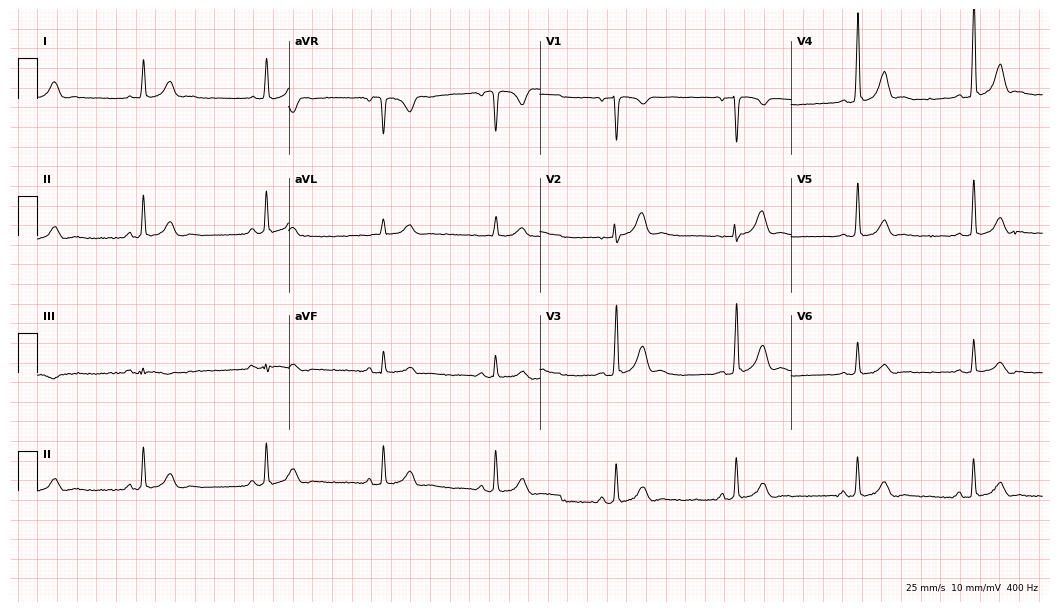
12-lead ECG from a 25-year-old male. Findings include sinus bradycardia (a sinus rate of 50 beats per minute or less).